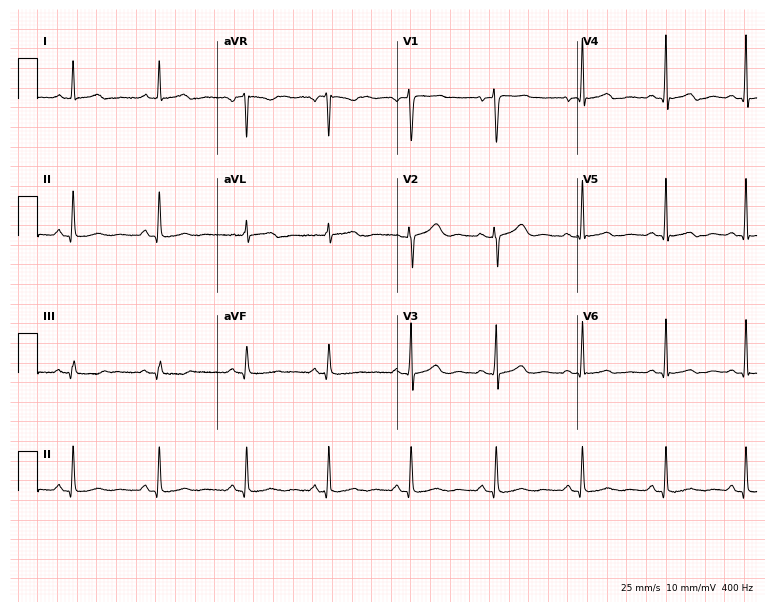
Electrocardiogram (7.3-second recording at 400 Hz), a female patient, 59 years old. Of the six screened findings (first-degree AV block, right bundle branch block (RBBB), left bundle branch block (LBBB), sinus bradycardia, atrial fibrillation (AF), sinus tachycardia), none is recorded. Other findings, if any, are not listed.